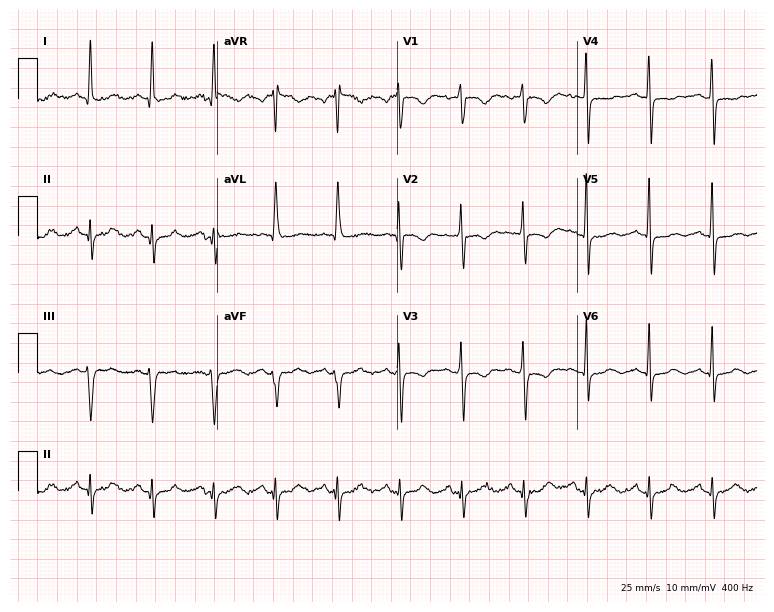
Resting 12-lead electrocardiogram (7.3-second recording at 400 Hz). Patient: an 81-year-old female. None of these six findings is recorded: first-degree AV block, right bundle branch block, left bundle branch block, sinus bradycardia, atrial fibrillation, sinus tachycardia. Other findings, if any, are not listed.